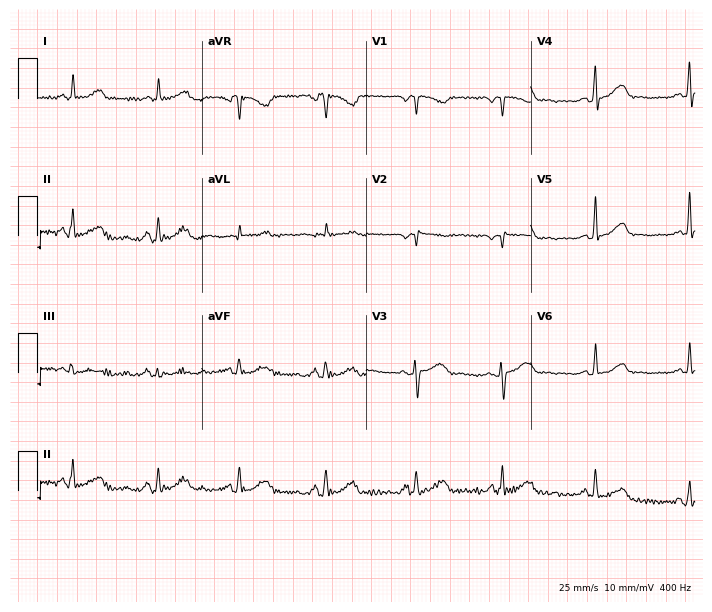
Electrocardiogram (6.7-second recording at 400 Hz), a woman, 43 years old. Overall reading on record: normal ECG.